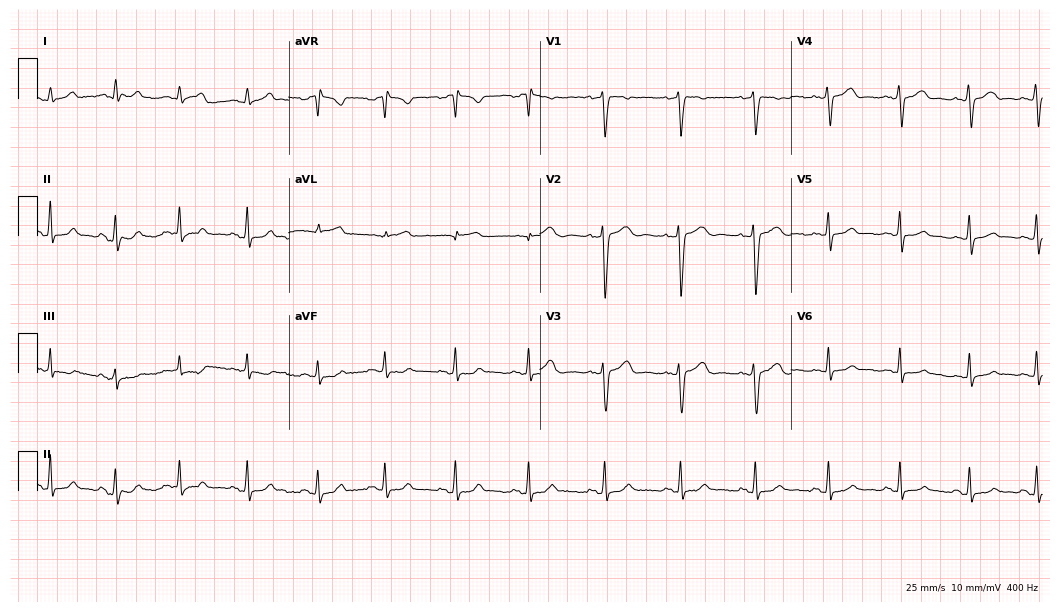
Standard 12-lead ECG recorded from a 28-year-old female. None of these six findings is recorded: first-degree AV block, right bundle branch block, left bundle branch block, sinus bradycardia, atrial fibrillation, sinus tachycardia.